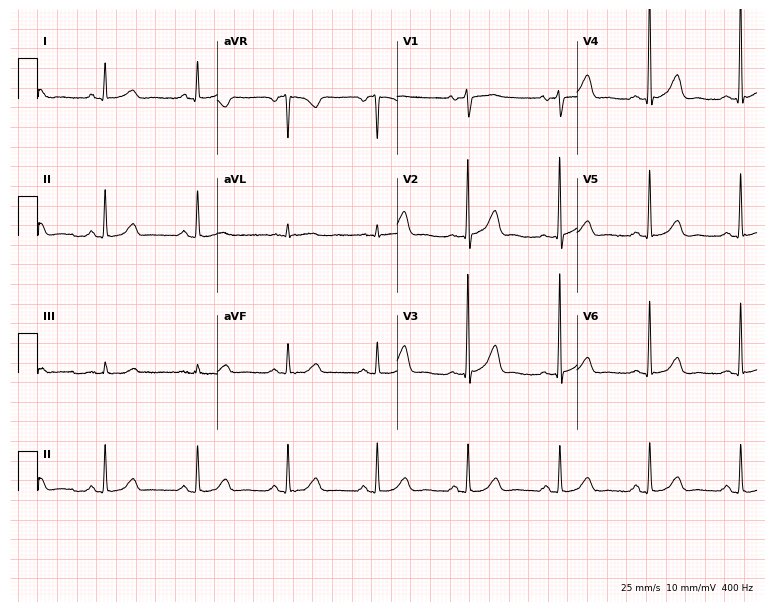
ECG — a 70-year-old female patient. Screened for six findings — first-degree AV block, right bundle branch block, left bundle branch block, sinus bradycardia, atrial fibrillation, sinus tachycardia — none is recorded.